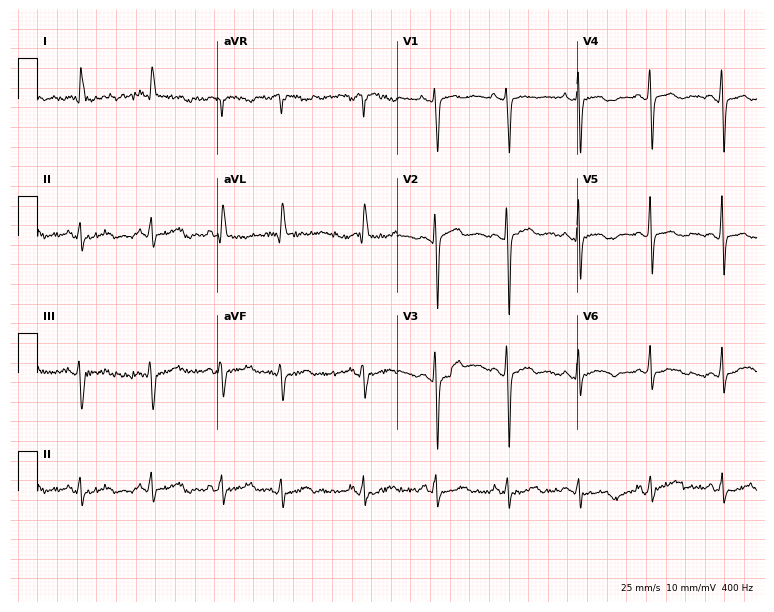
12-lead ECG from a female, 87 years old (7.3-second recording at 400 Hz). Recorded interpretation: within normal limits.